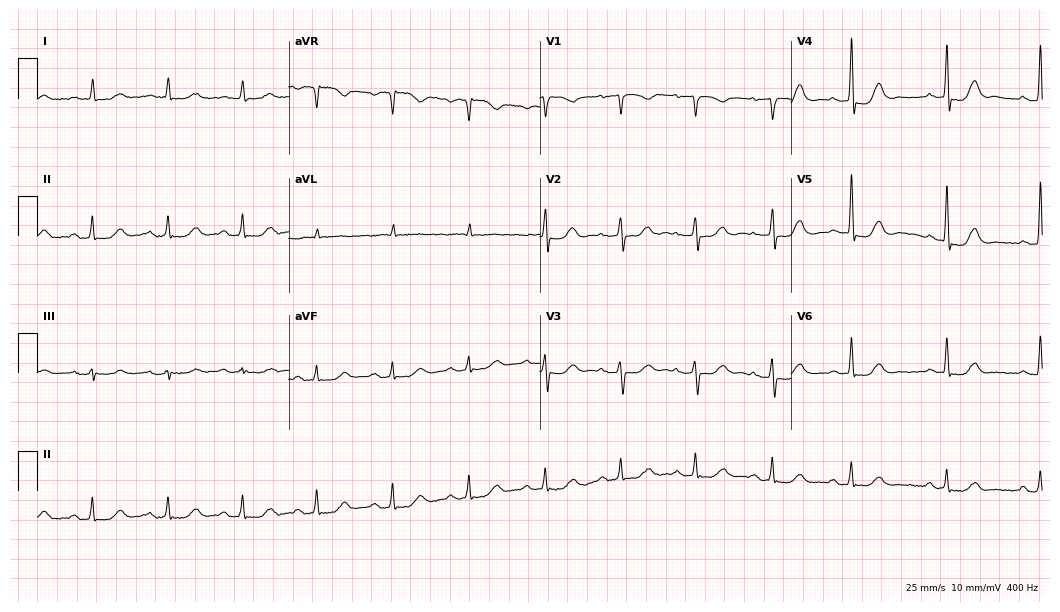
ECG (10.2-second recording at 400 Hz) — an 80-year-old woman. Labelled as a normal ECG.